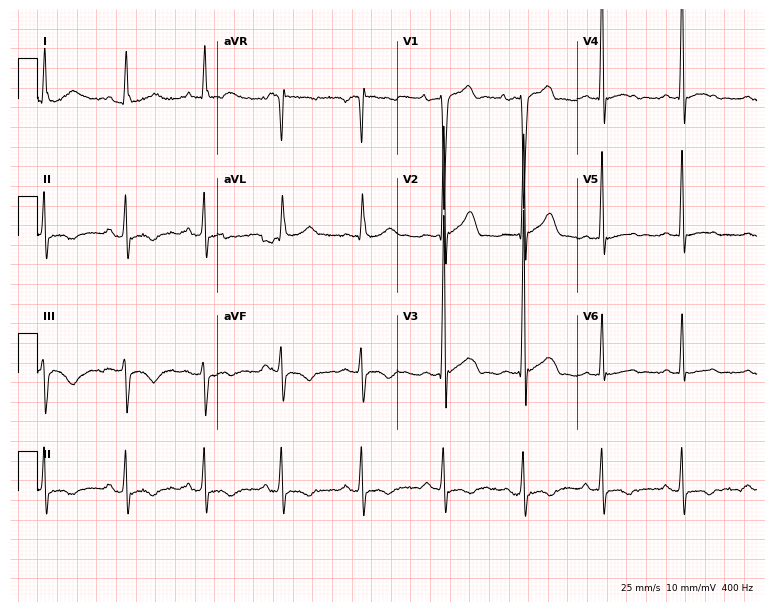
12-lead ECG from a 79-year-old male. No first-degree AV block, right bundle branch block, left bundle branch block, sinus bradycardia, atrial fibrillation or sinus tachycardia recorded for this tracing. Findings outside these six are not listed.